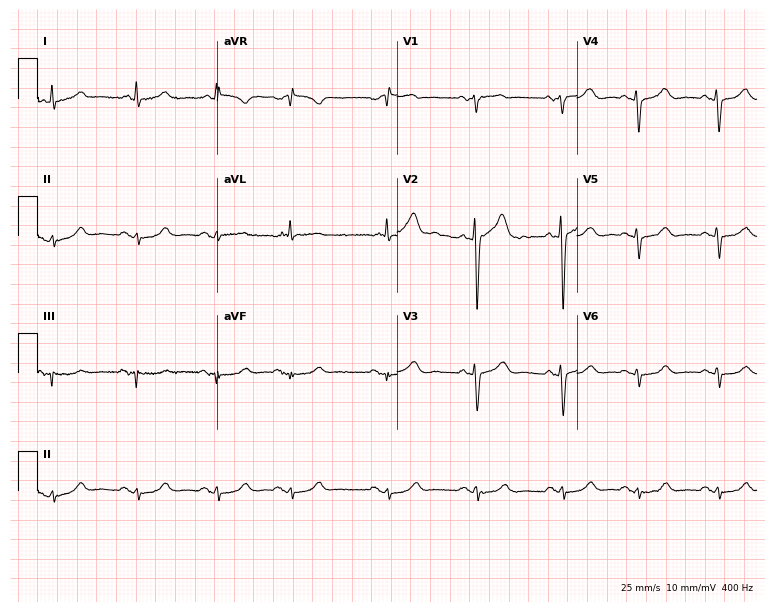
Resting 12-lead electrocardiogram (7.3-second recording at 400 Hz). Patient: a man, 83 years old. None of these six findings is recorded: first-degree AV block, right bundle branch block, left bundle branch block, sinus bradycardia, atrial fibrillation, sinus tachycardia. Only these six findings were labelled.